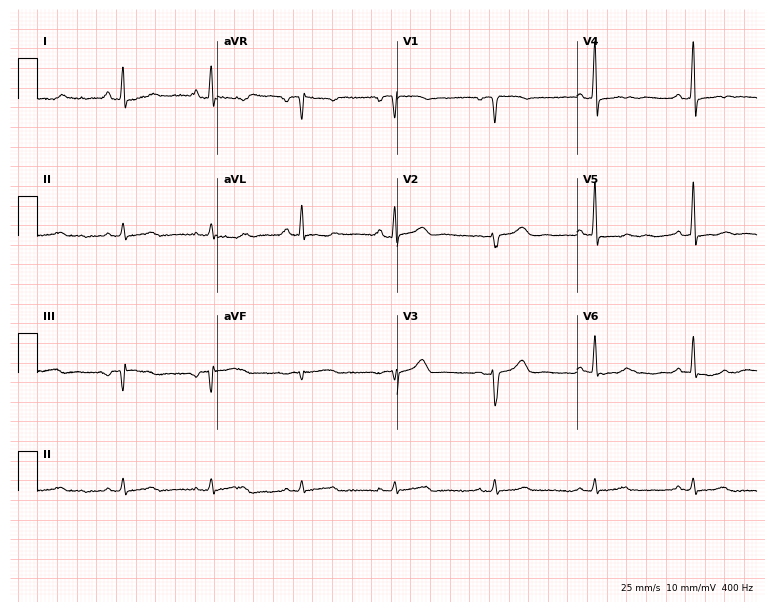
12-lead ECG from a female, 58 years old. Labelled as a normal ECG.